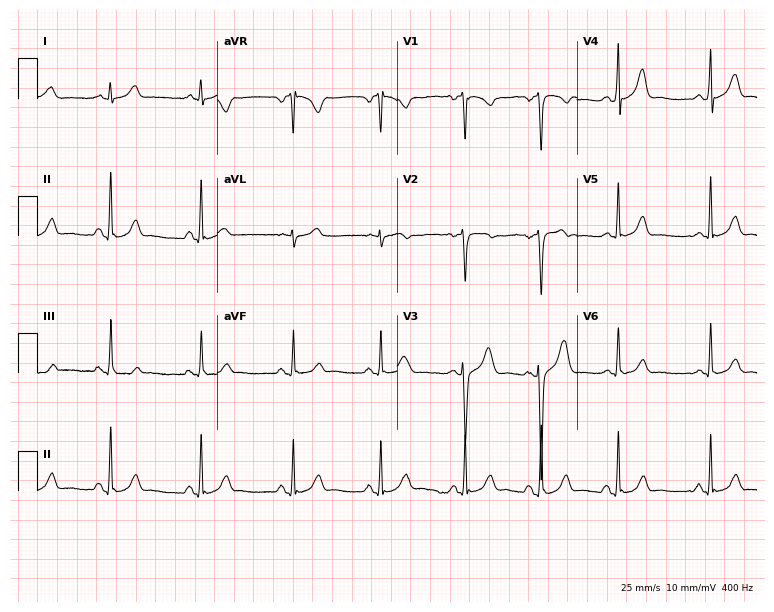
ECG (7.3-second recording at 400 Hz) — a man, 21 years old. Labelled as a normal ECG.